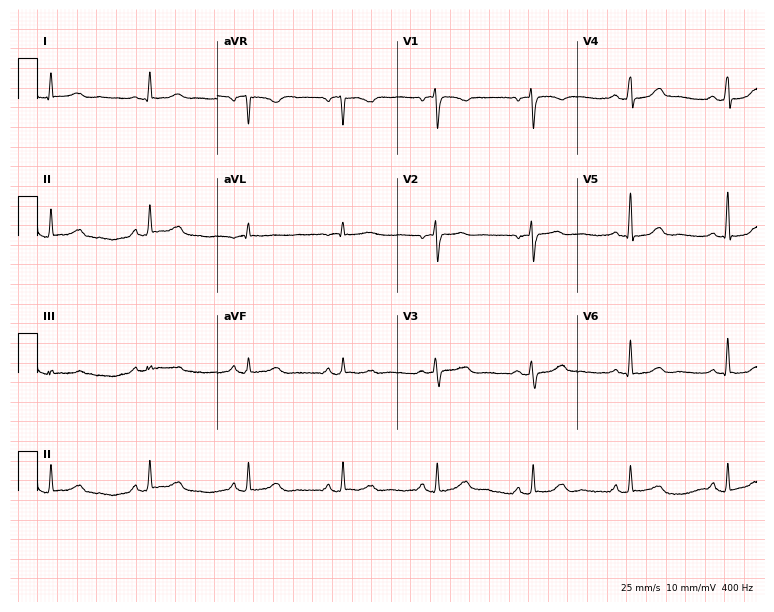
Standard 12-lead ECG recorded from a 49-year-old woman (7.3-second recording at 400 Hz). None of these six findings is recorded: first-degree AV block, right bundle branch block (RBBB), left bundle branch block (LBBB), sinus bradycardia, atrial fibrillation (AF), sinus tachycardia. Findings outside these six are not listed.